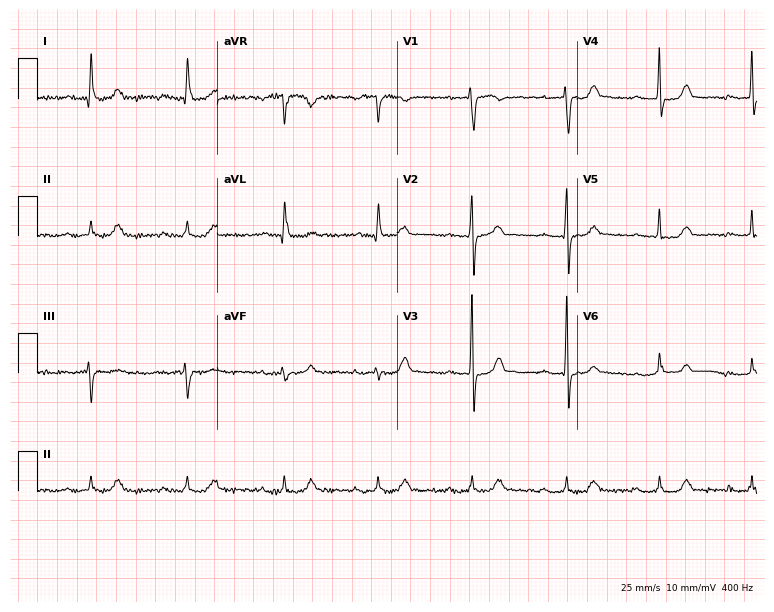
Standard 12-lead ECG recorded from a 76-year-old female (7.3-second recording at 400 Hz). The tracing shows first-degree AV block.